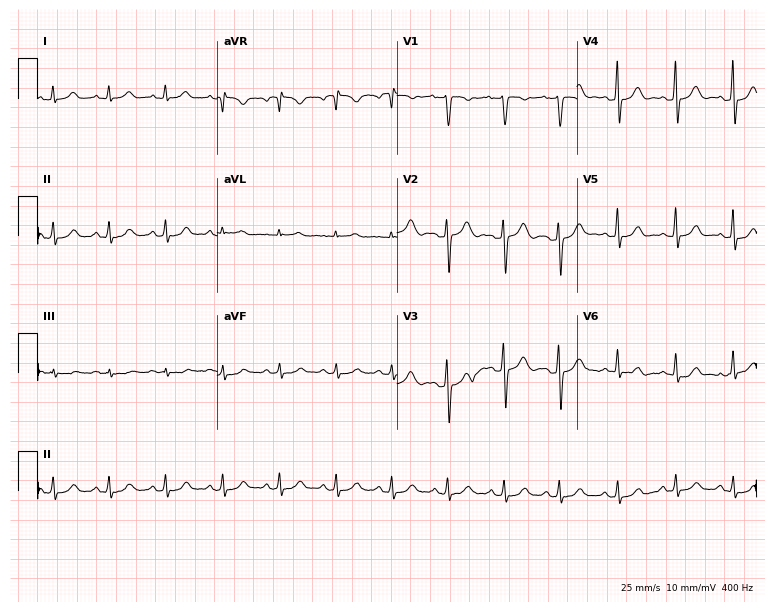
Resting 12-lead electrocardiogram (7.3-second recording at 400 Hz). Patient: a 33-year-old woman. None of these six findings is recorded: first-degree AV block, right bundle branch block, left bundle branch block, sinus bradycardia, atrial fibrillation, sinus tachycardia.